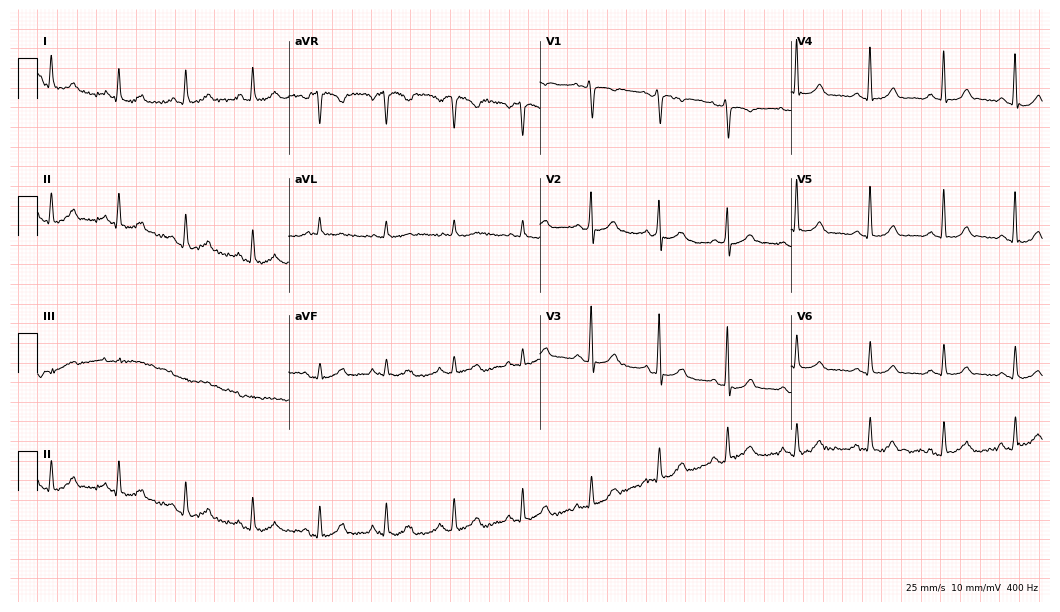
ECG (10.2-second recording at 400 Hz) — a 57-year-old woman. Labelled as a normal ECG.